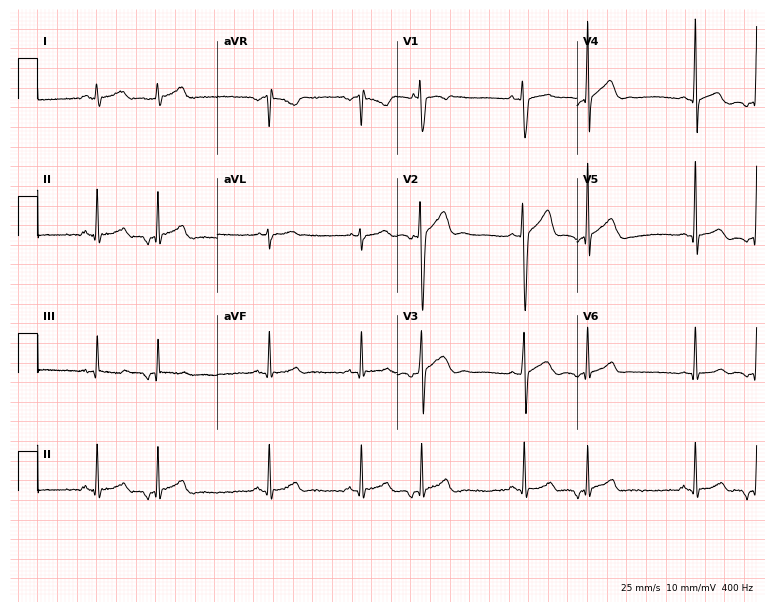
ECG (7.3-second recording at 400 Hz) — a 19-year-old male patient. Labelled as a normal ECG.